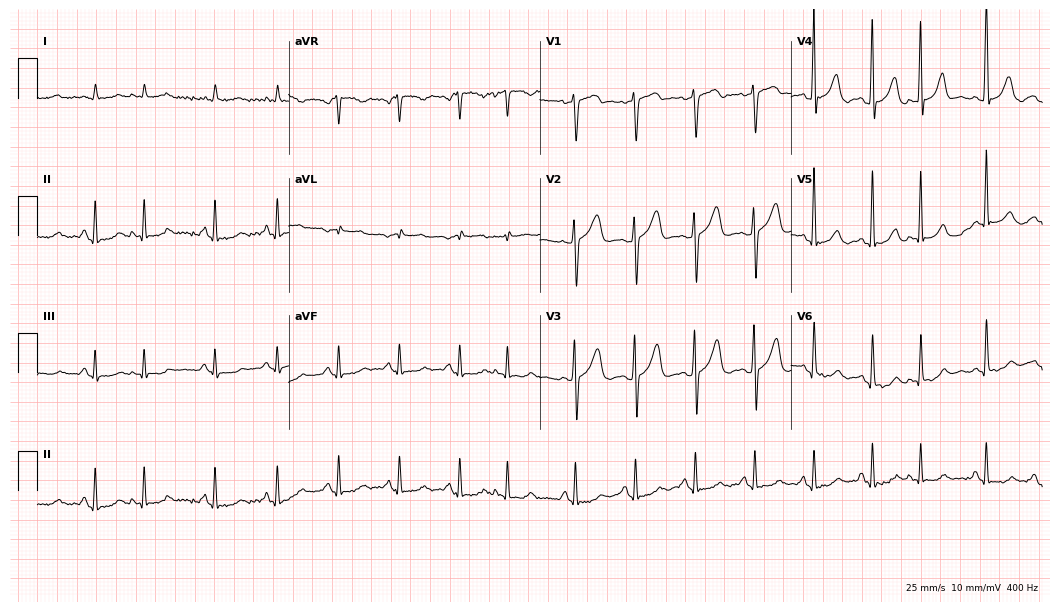
ECG — a man, 78 years old. Screened for six findings — first-degree AV block, right bundle branch block, left bundle branch block, sinus bradycardia, atrial fibrillation, sinus tachycardia — none is recorded.